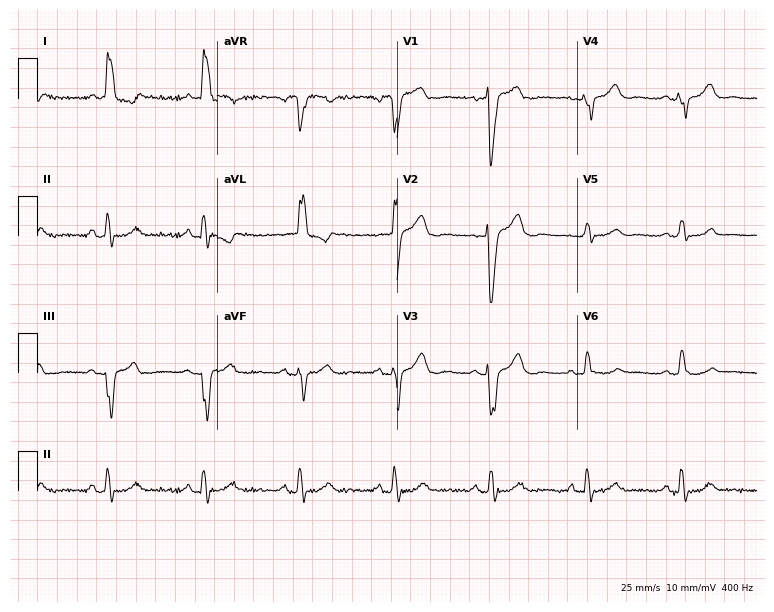
Standard 12-lead ECG recorded from a 68-year-old woman. None of these six findings is recorded: first-degree AV block, right bundle branch block, left bundle branch block, sinus bradycardia, atrial fibrillation, sinus tachycardia. Findings outside these six are not listed.